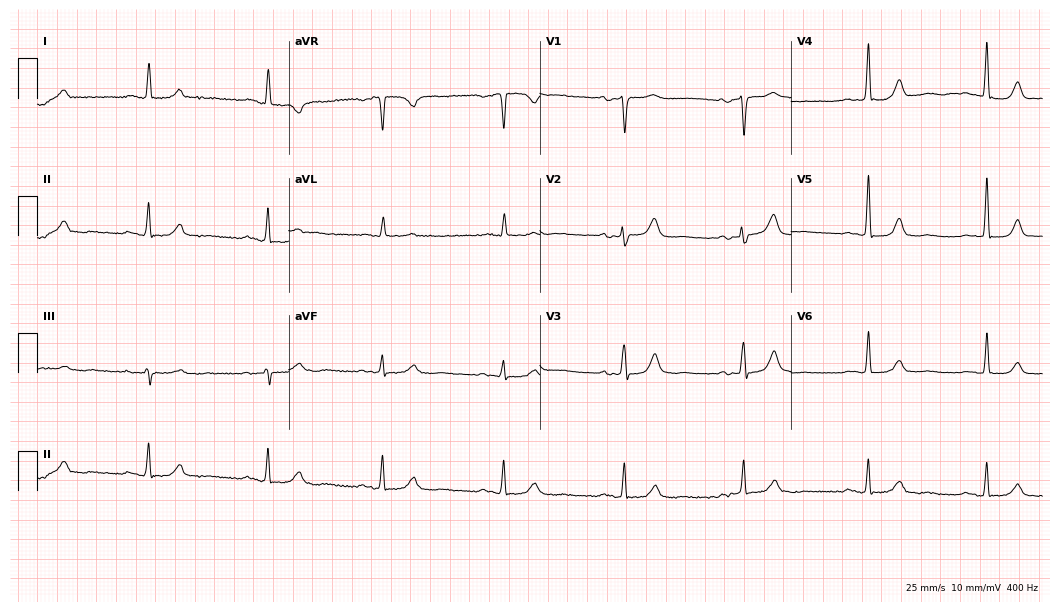
12-lead ECG (10.2-second recording at 400 Hz) from an 83-year-old woman. Findings include sinus bradycardia (a sinus rate of 50 beats per minute or less).